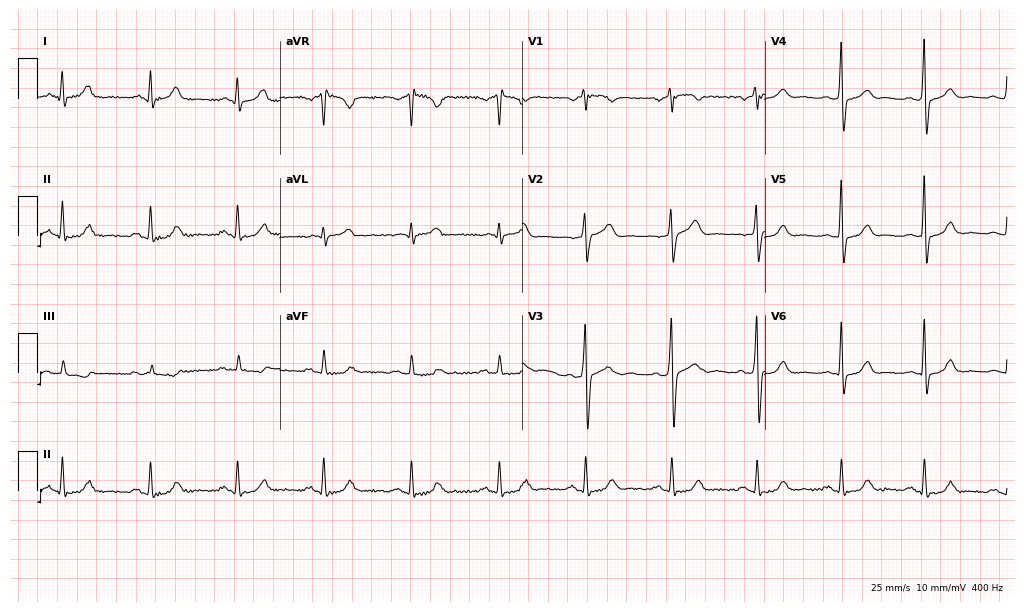
Standard 12-lead ECG recorded from a male patient, 48 years old. Read as a normal ECG.